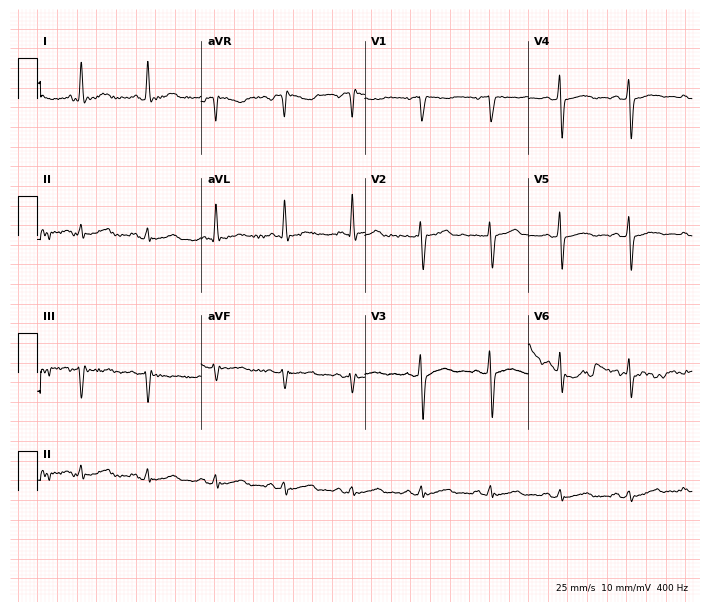
Resting 12-lead electrocardiogram (6.7-second recording at 400 Hz). Patient: a 50-year-old woman. None of these six findings is recorded: first-degree AV block, right bundle branch block, left bundle branch block, sinus bradycardia, atrial fibrillation, sinus tachycardia.